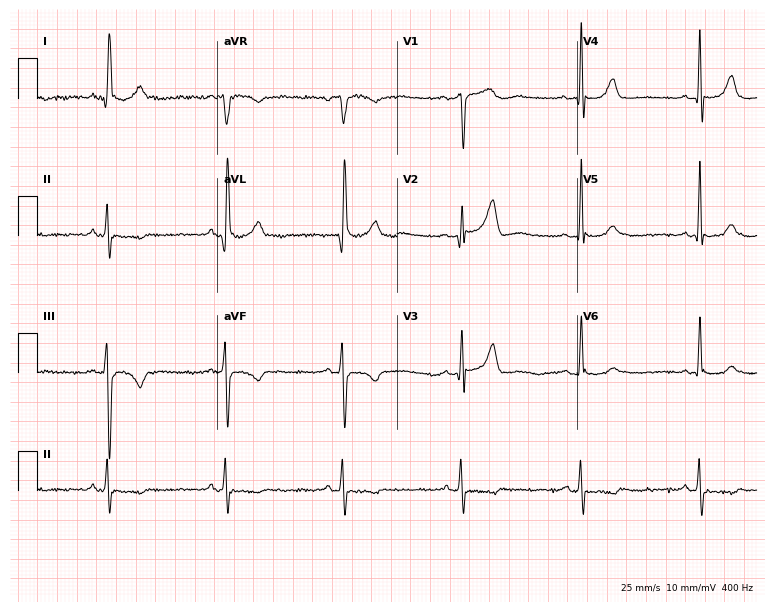
12-lead ECG from a woman, 69 years old (7.3-second recording at 400 Hz). No first-degree AV block, right bundle branch block (RBBB), left bundle branch block (LBBB), sinus bradycardia, atrial fibrillation (AF) or sinus tachycardia recorded for this tracing. Only these six findings were labelled.